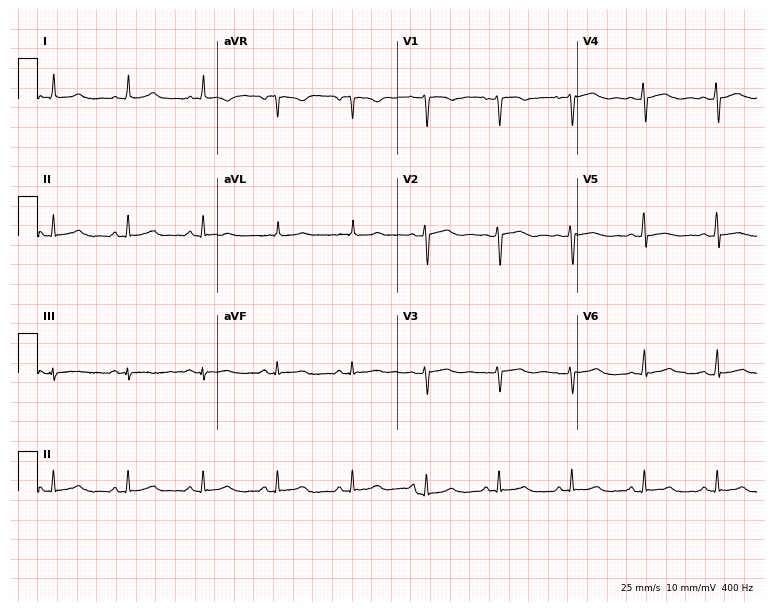
Electrocardiogram (7.3-second recording at 400 Hz), a female, 38 years old. Overall reading on record: normal ECG.